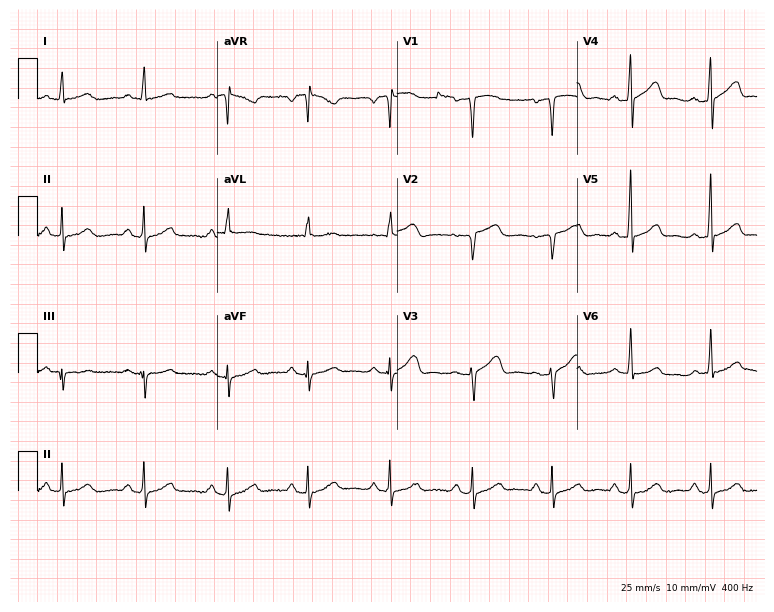
Electrocardiogram (7.3-second recording at 400 Hz), a woman, 58 years old. Of the six screened findings (first-degree AV block, right bundle branch block, left bundle branch block, sinus bradycardia, atrial fibrillation, sinus tachycardia), none is recorded.